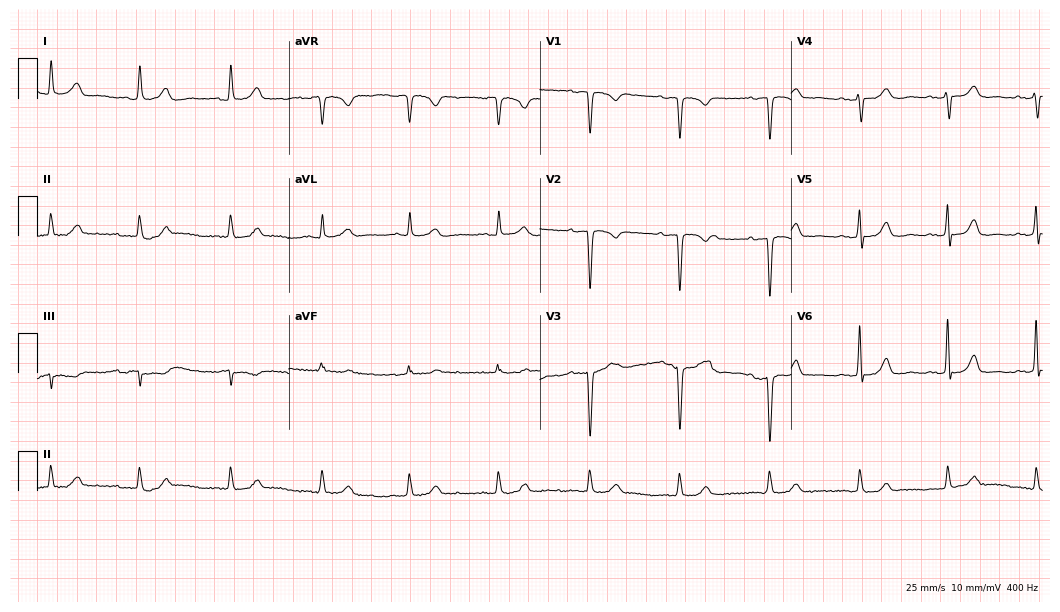
ECG (10.2-second recording at 400 Hz) — a female, 54 years old. Screened for six findings — first-degree AV block, right bundle branch block, left bundle branch block, sinus bradycardia, atrial fibrillation, sinus tachycardia — none is recorded.